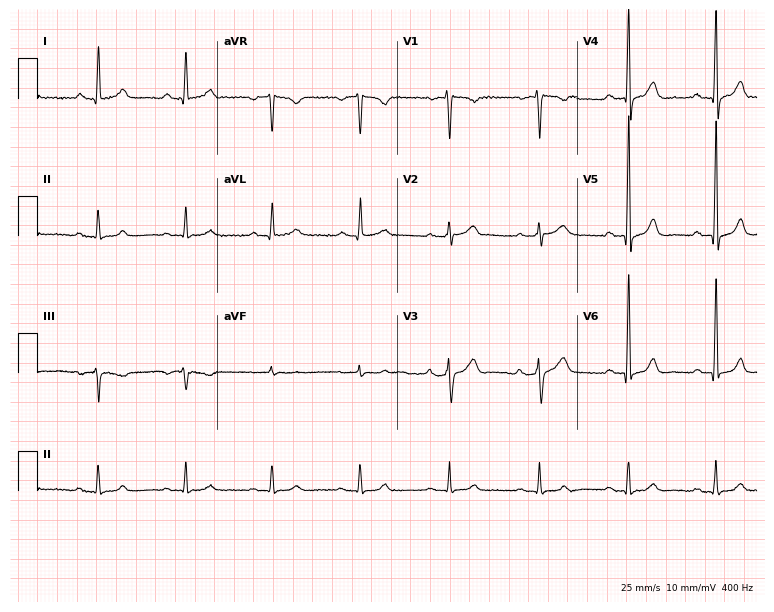
ECG (7.3-second recording at 400 Hz) — a man, 58 years old. Screened for six findings — first-degree AV block, right bundle branch block, left bundle branch block, sinus bradycardia, atrial fibrillation, sinus tachycardia — none is recorded.